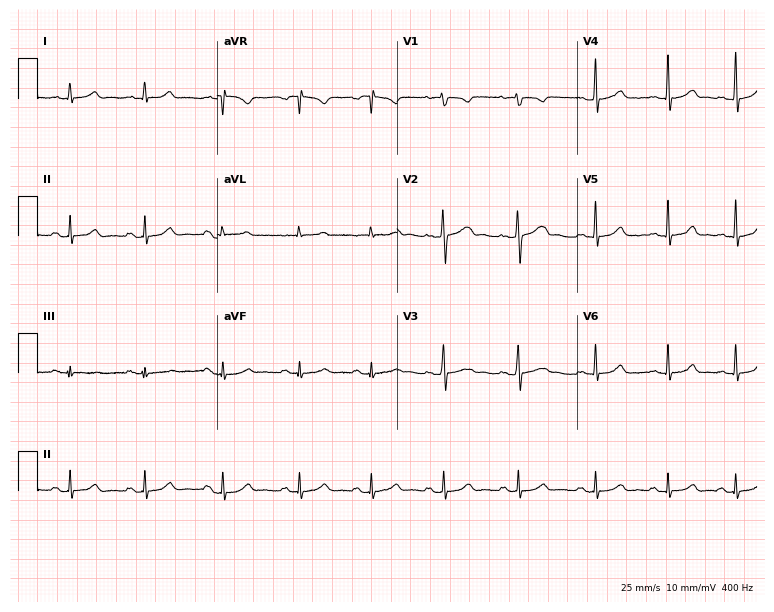
Electrocardiogram (7.3-second recording at 400 Hz), a 32-year-old woman. Overall reading on record: normal ECG.